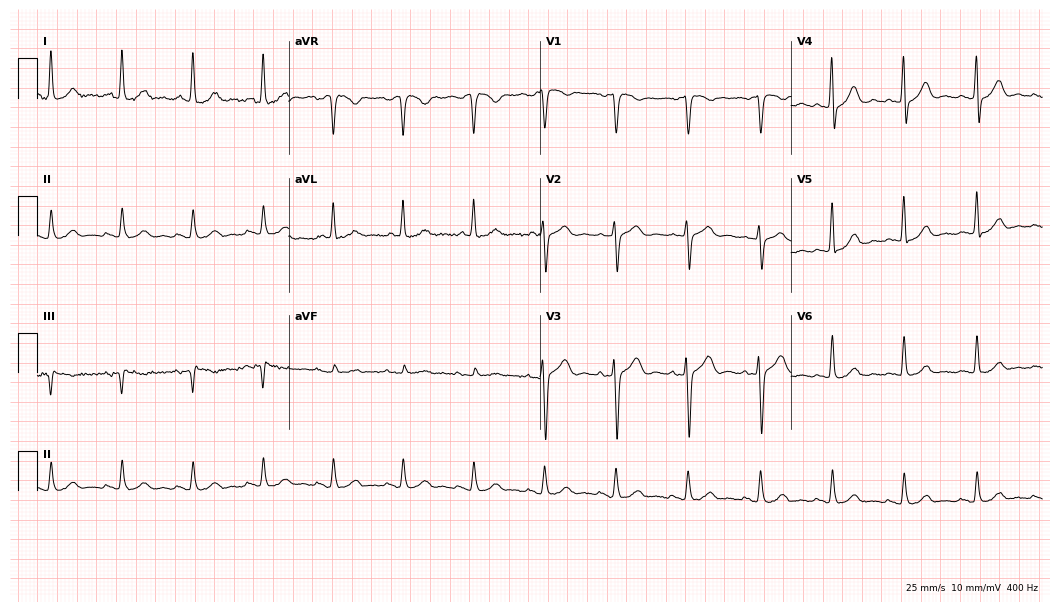
Standard 12-lead ECG recorded from a 54-year-old woman. Read as a normal ECG.